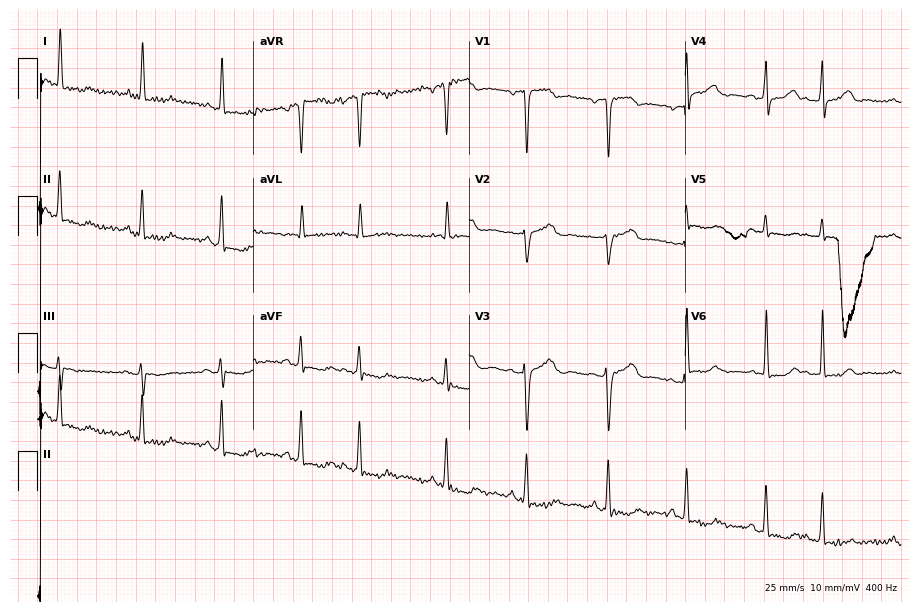
Resting 12-lead electrocardiogram (8.8-second recording at 400 Hz). Patient: a female, 86 years old. None of these six findings is recorded: first-degree AV block, right bundle branch block, left bundle branch block, sinus bradycardia, atrial fibrillation, sinus tachycardia. Other findings, if any, are not listed.